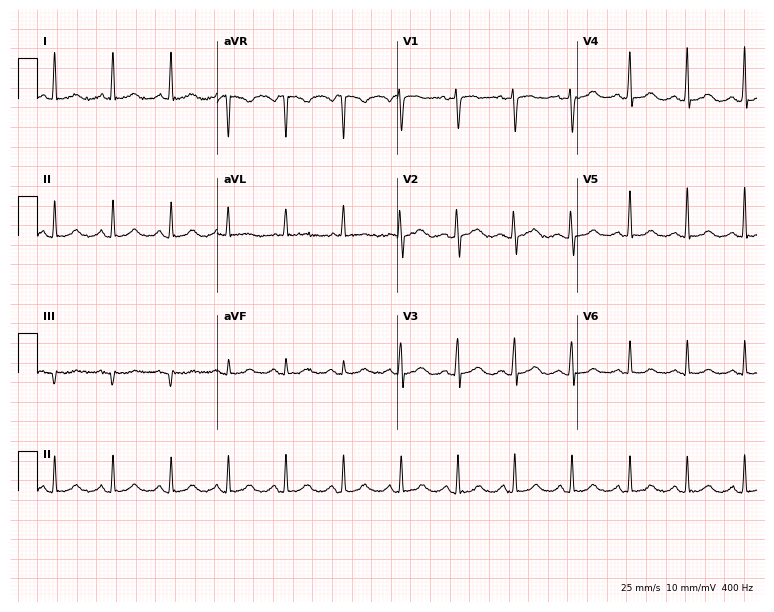
Standard 12-lead ECG recorded from a female, 48 years old (7.3-second recording at 400 Hz). Read as a normal ECG.